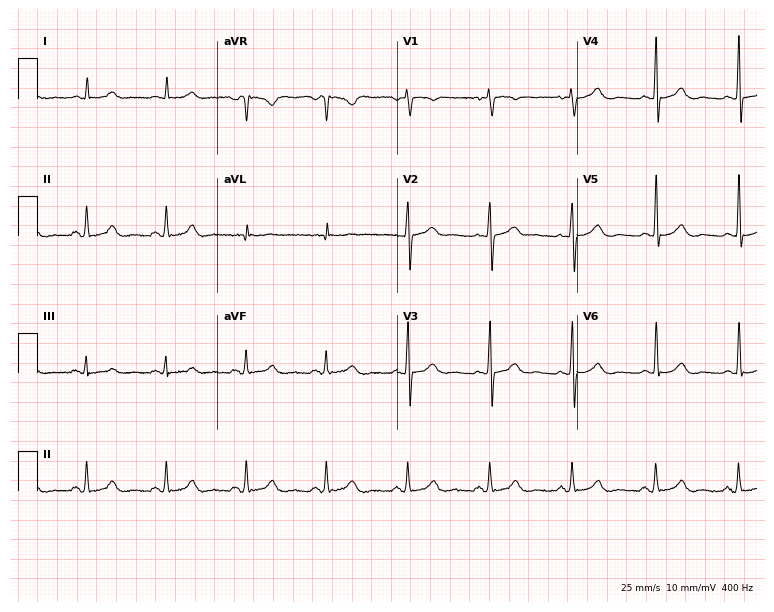
12-lead ECG (7.3-second recording at 400 Hz) from a man, 83 years old. Screened for six findings — first-degree AV block, right bundle branch block, left bundle branch block, sinus bradycardia, atrial fibrillation, sinus tachycardia — none is recorded.